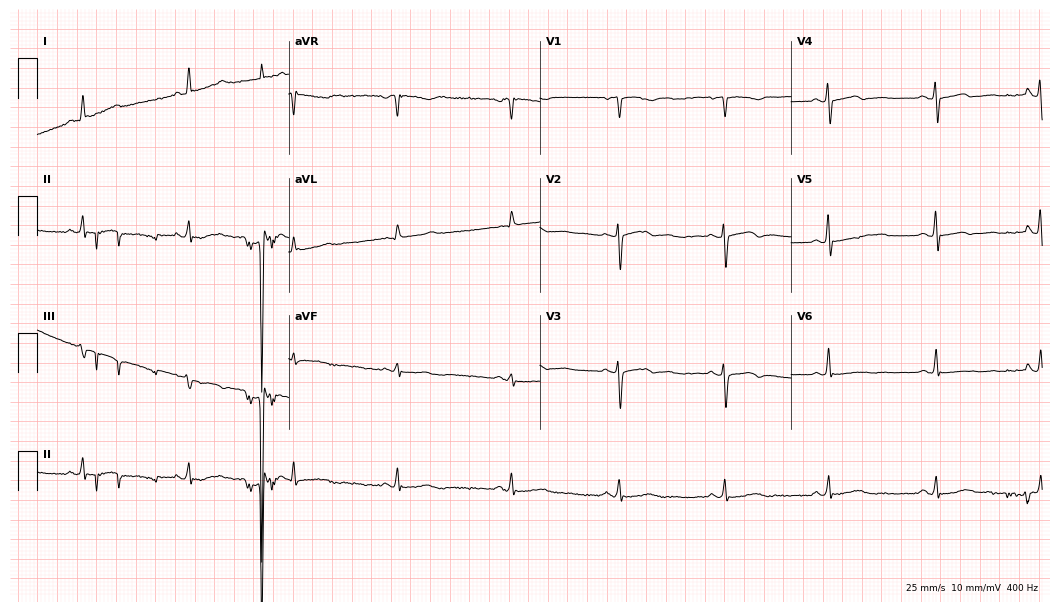
ECG — a female patient, 54 years old. Screened for six findings — first-degree AV block, right bundle branch block, left bundle branch block, sinus bradycardia, atrial fibrillation, sinus tachycardia — none is recorded. Findings outside these six are not listed.